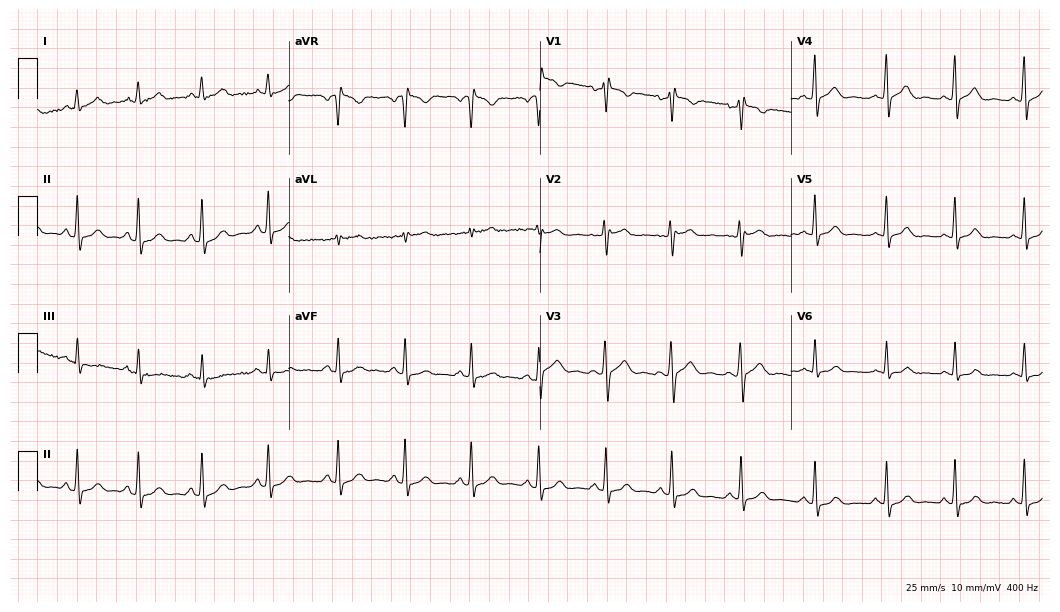
ECG — a woman, 21 years old. Screened for six findings — first-degree AV block, right bundle branch block (RBBB), left bundle branch block (LBBB), sinus bradycardia, atrial fibrillation (AF), sinus tachycardia — none is recorded.